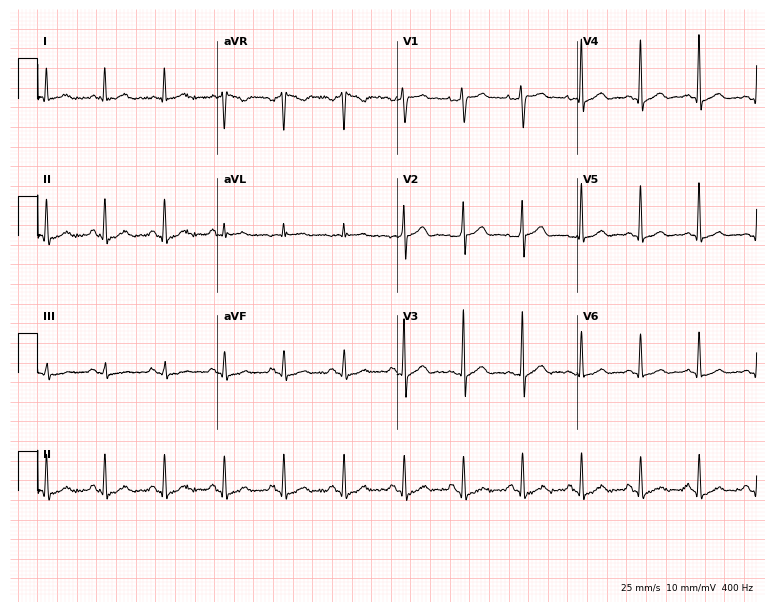
Resting 12-lead electrocardiogram. Patient: a male, 58 years old. None of these six findings is recorded: first-degree AV block, right bundle branch block, left bundle branch block, sinus bradycardia, atrial fibrillation, sinus tachycardia.